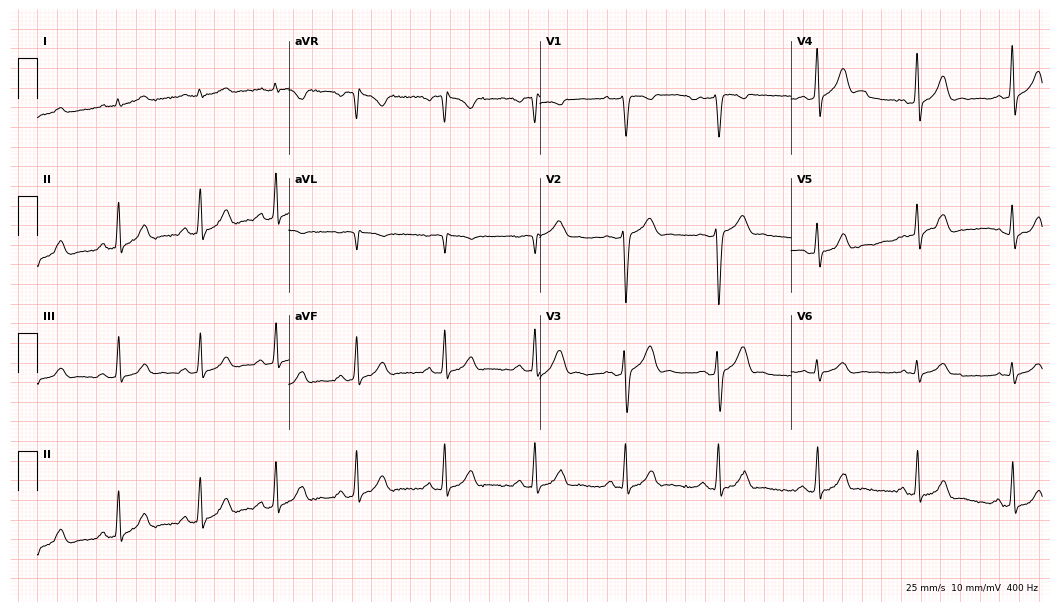
12-lead ECG from a male, 40 years old. Labelled as a normal ECG.